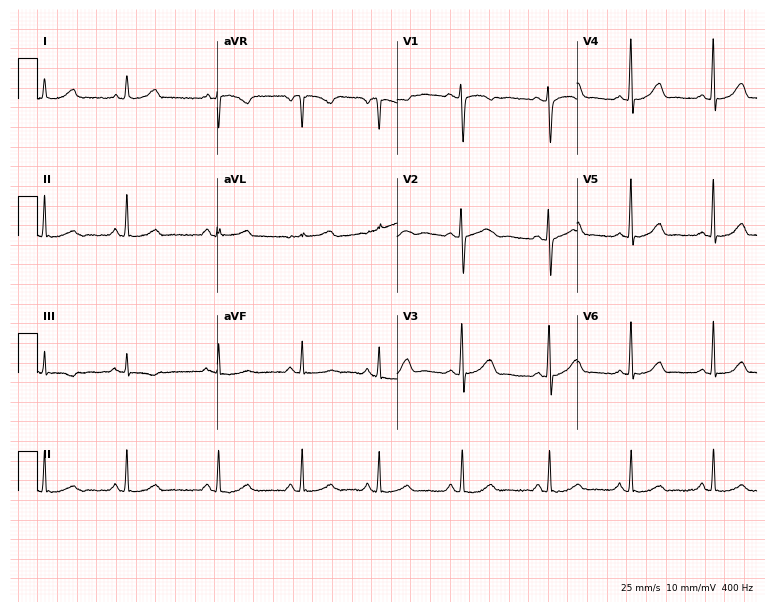
ECG (7.3-second recording at 400 Hz) — a female, 25 years old. Labelled as a normal ECG.